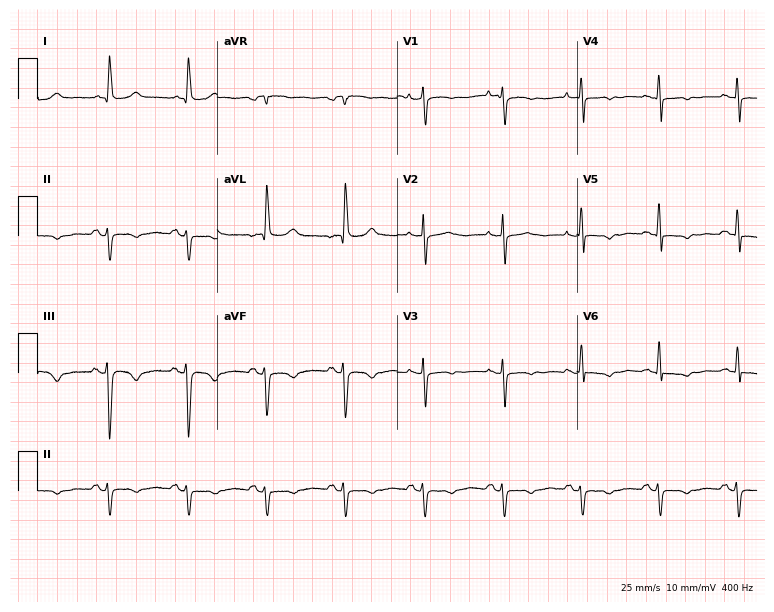
12-lead ECG from a female patient, 65 years old. Screened for six findings — first-degree AV block, right bundle branch block, left bundle branch block, sinus bradycardia, atrial fibrillation, sinus tachycardia — none is recorded. Other findings, if any, are not listed.